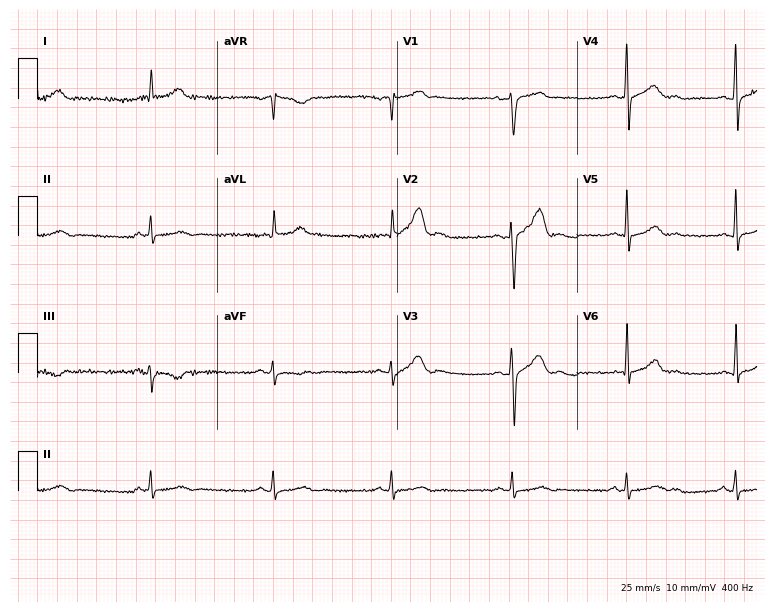
12-lead ECG (7.3-second recording at 400 Hz) from a male patient, 39 years old. Screened for six findings — first-degree AV block, right bundle branch block, left bundle branch block, sinus bradycardia, atrial fibrillation, sinus tachycardia — none is recorded.